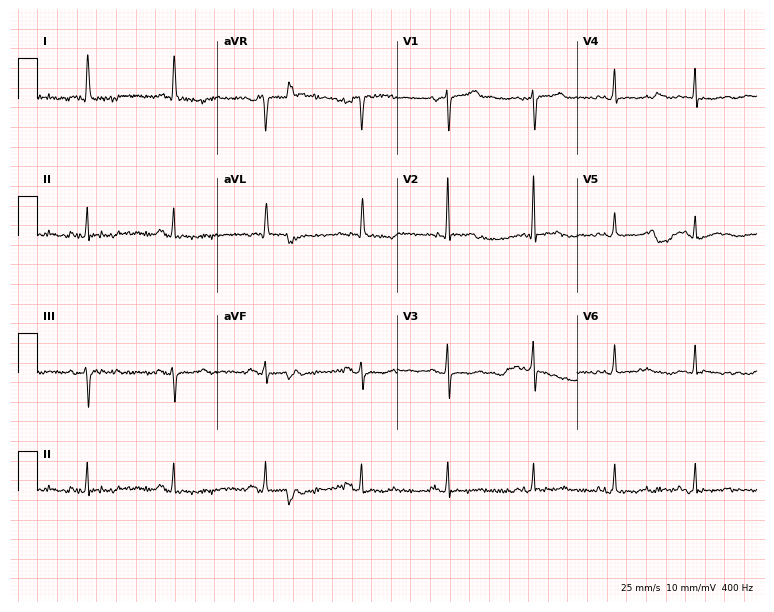
Electrocardiogram, a female, 81 years old. Overall reading on record: normal ECG.